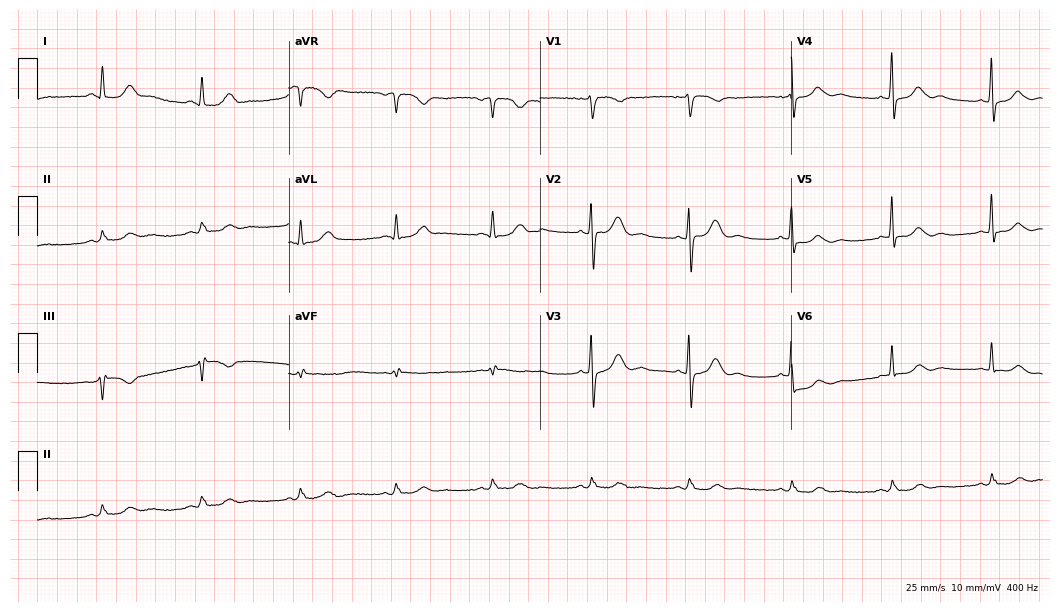
Standard 12-lead ECG recorded from a 74-year-old female patient (10.2-second recording at 400 Hz). Read as a normal ECG.